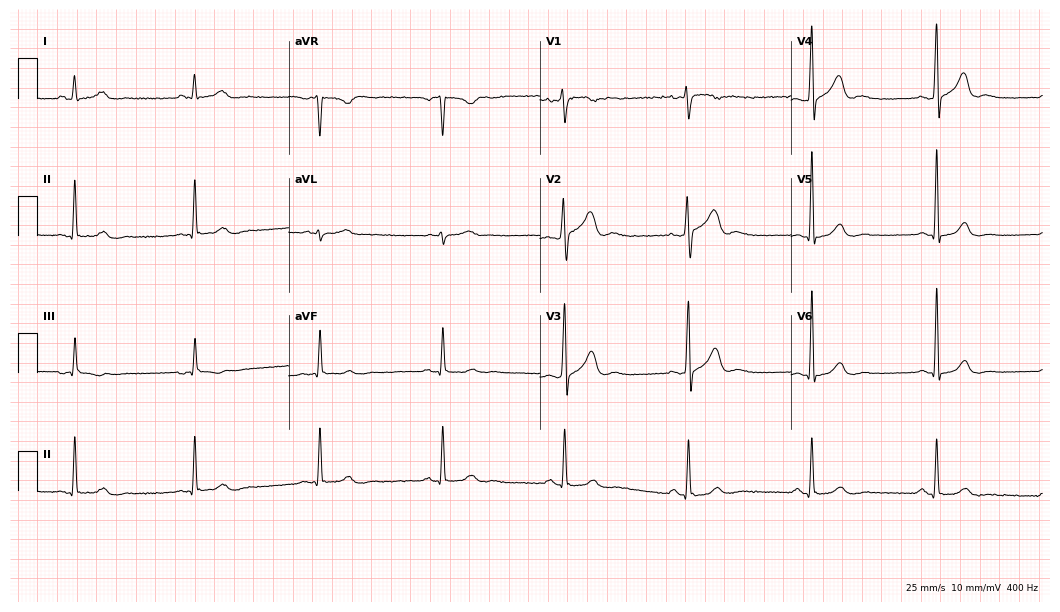
Resting 12-lead electrocardiogram (10.2-second recording at 400 Hz). Patient: a male, 54 years old. The tracing shows sinus bradycardia (a sinus rate of 50 beats per minute or less).